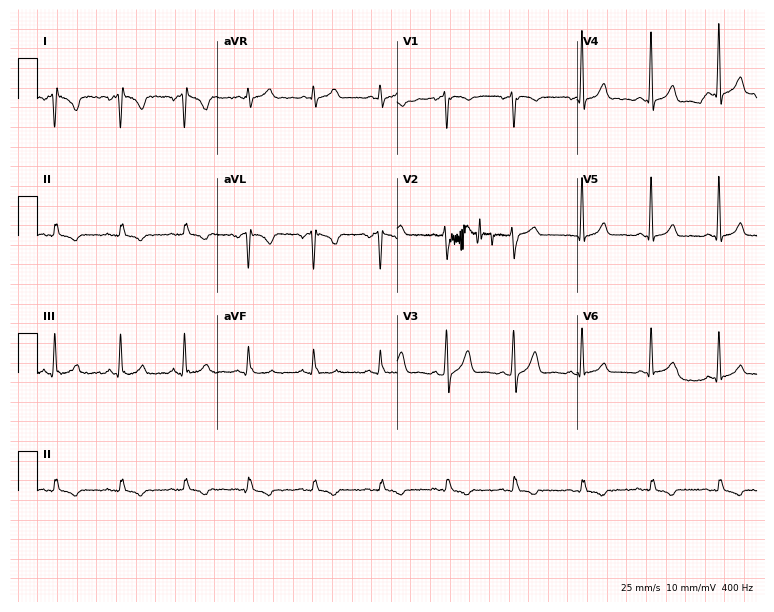
ECG (7.3-second recording at 400 Hz) — a man, 46 years old. Screened for six findings — first-degree AV block, right bundle branch block, left bundle branch block, sinus bradycardia, atrial fibrillation, sinus tachycardia — none is recorded.